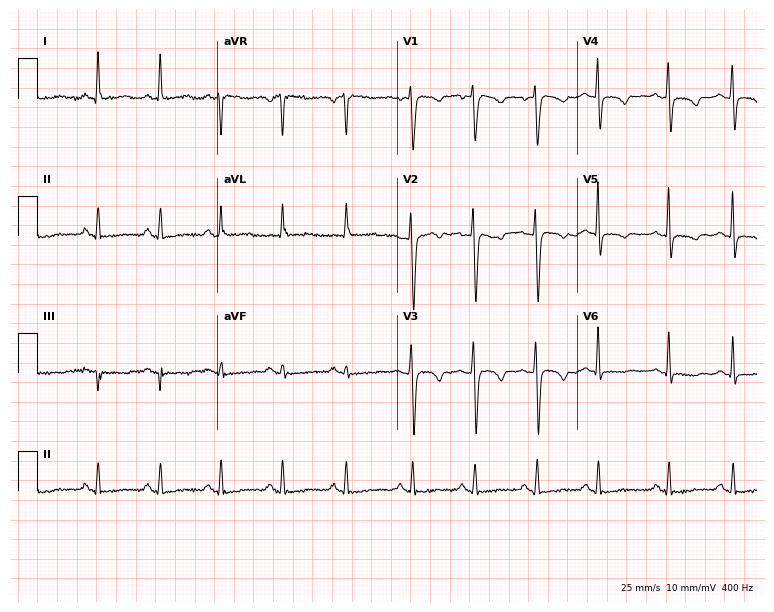
12-lead ECG from a 57-year-old female (7.3-second recording at 400 Hz). No first-degree AV block, right bundle branch block, left bundle branch block, sinus bradycardia, atrial fibrillation or sinus tachycardia recorded for this tracing.